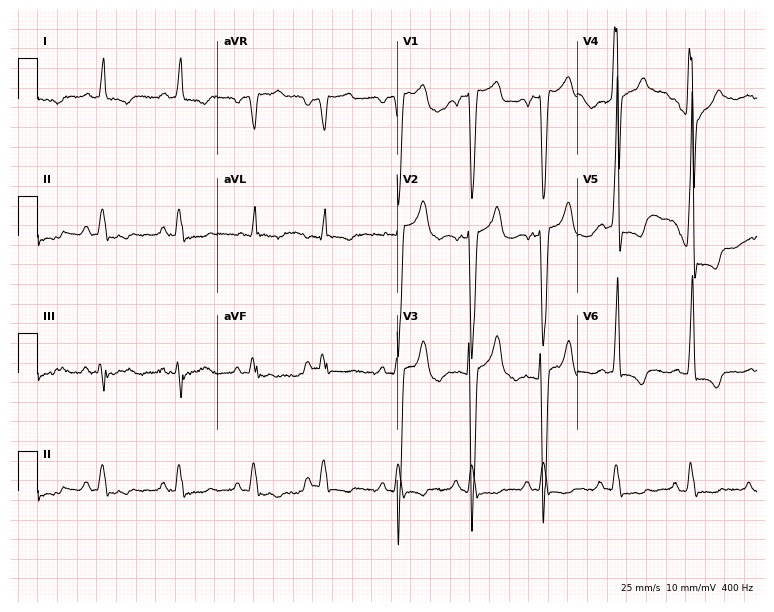
12-lead ECG from an 85-year-old male. No first-degree AV block, right bundle branch block (RBBB), left bundle branch block (LBBB), sinus bradycardia, atrial fibrillation (AF) or sinus tachycardia recorded for this tracing. Other findings, if any, are not listed.